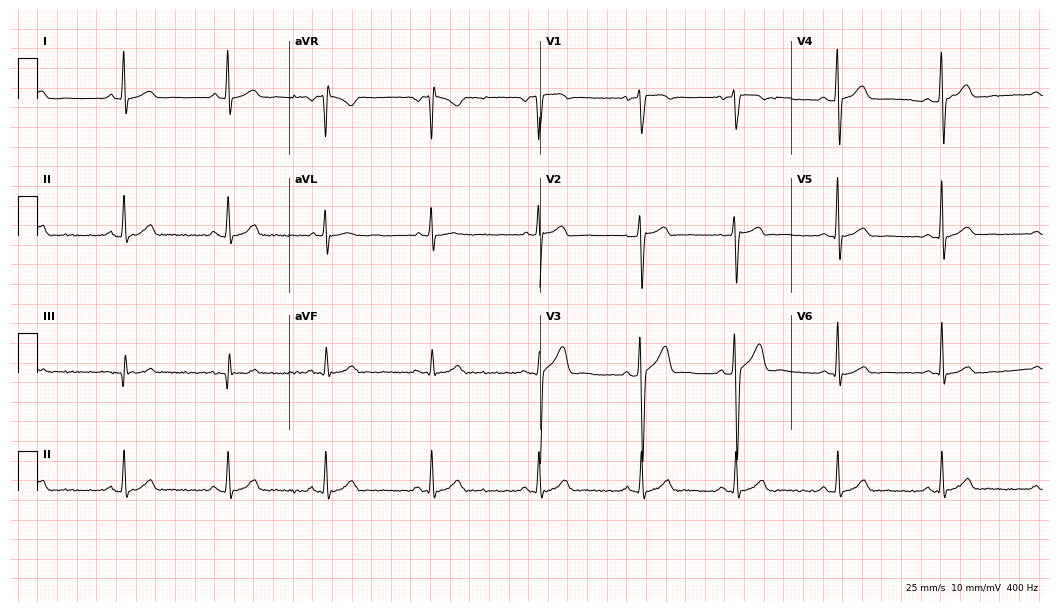
Standard 12-lead ECG recorded from a 33-year-old man. Read as a normal ECG.